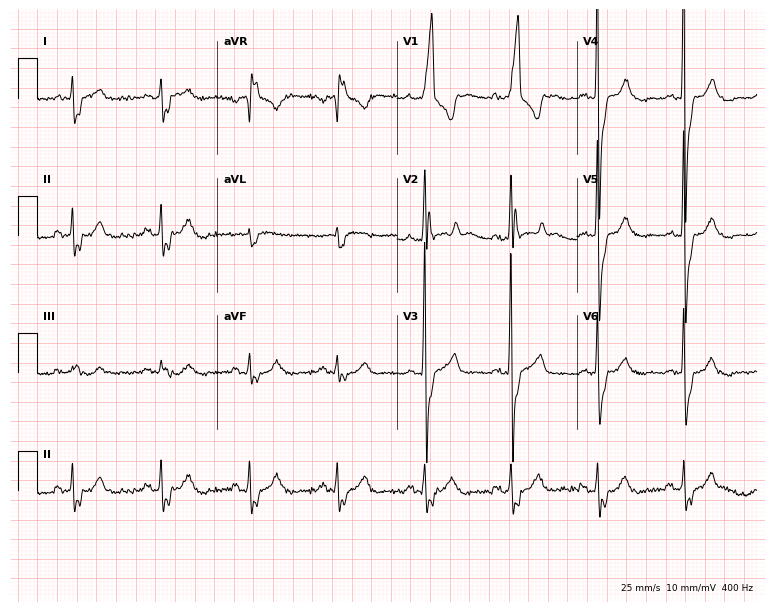
Resting 12-lead electrocardiogram. Patient: a 56-year-old male. The tracing shows right bundle branch block.